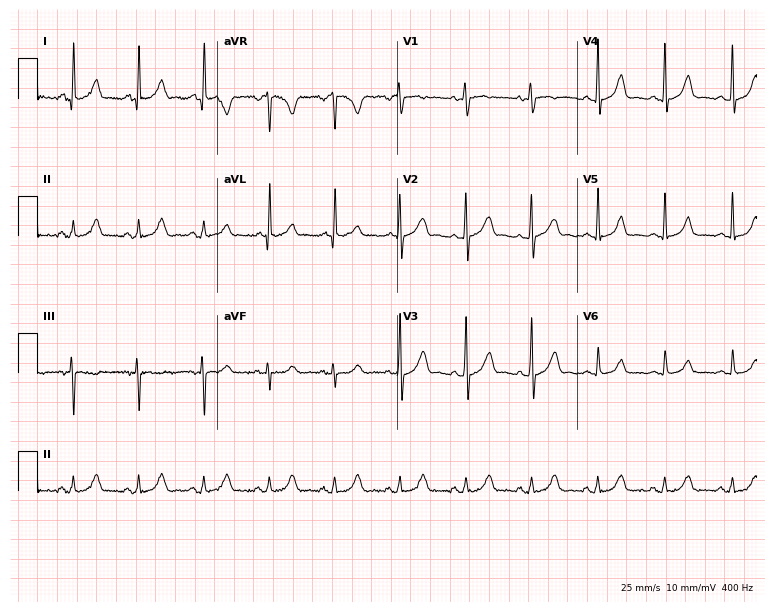
12-lead ECG from a 49-year-old female (7.3-second recording at 400 Hz). Recorded interpretation: within normal limits.